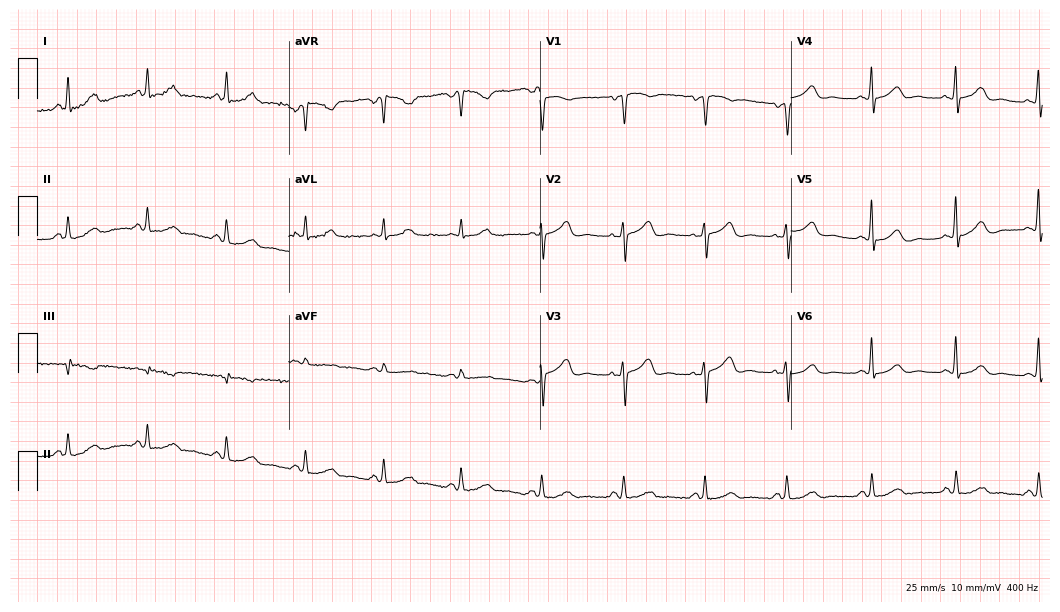
12-lead ECG (10.2-second recording at 400 Hz) from a 53-year-old female patient. Labelled as a normal ECG.